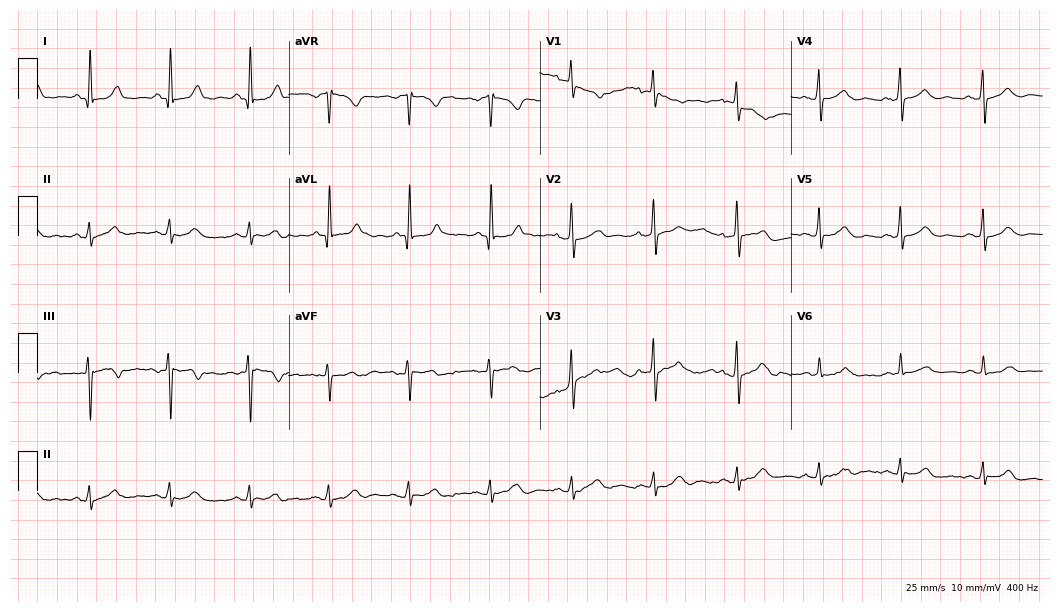
Electrocardiogram (10.2-second recording at 400 Hz), a 71-year-old female patient. Overall reading on record: normal ECG.